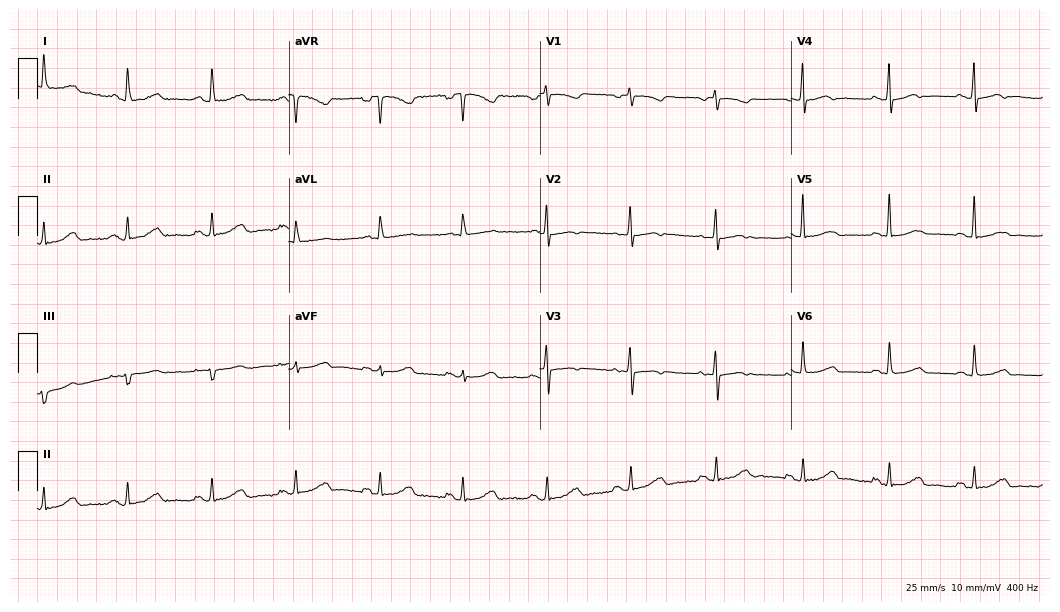
Resting 12-lead electrocardiogram. Patient: a female, 84 years old. None of these six findings is recorded: first-degree AV block, right bundle branch block (RBBB), left bundle branch block (LBBB), sinus bradycardia, atrial fibrillation (AF), sinus tachycardia. Other findings, if any, are not listed.